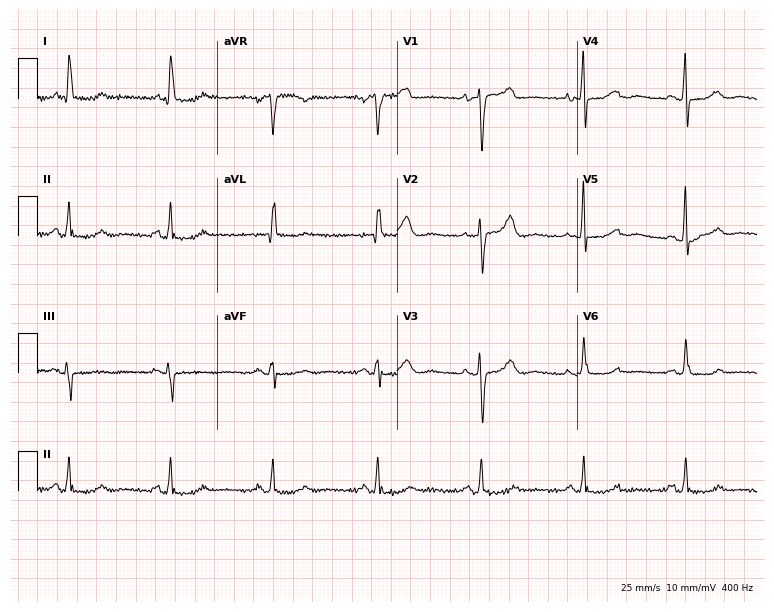
12-lead ECG from a female patient, 67 years old. Labelled as a normal ECG.